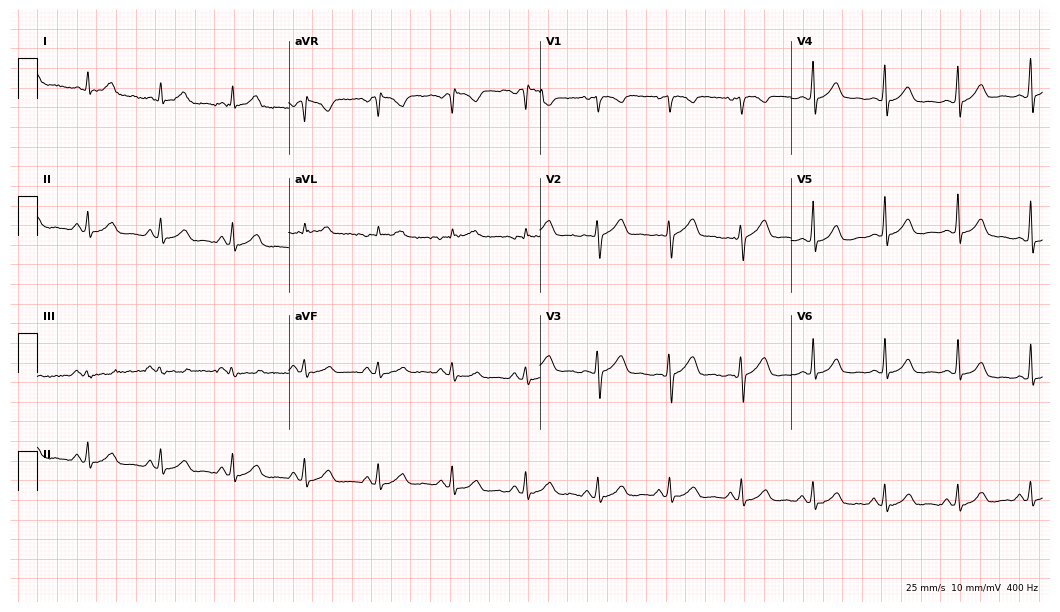
Resting 12-lead electrocardiogram (10.2-second recording at 400 Hz). Patient: a 33-year-old female. None of these six findings is recorded: first-degree AV block, right bundle branch block, left bundle branch block, sinus bradycardia, atrial fibrillation, sinus tachycardia. Other findings, if any, are not listed.